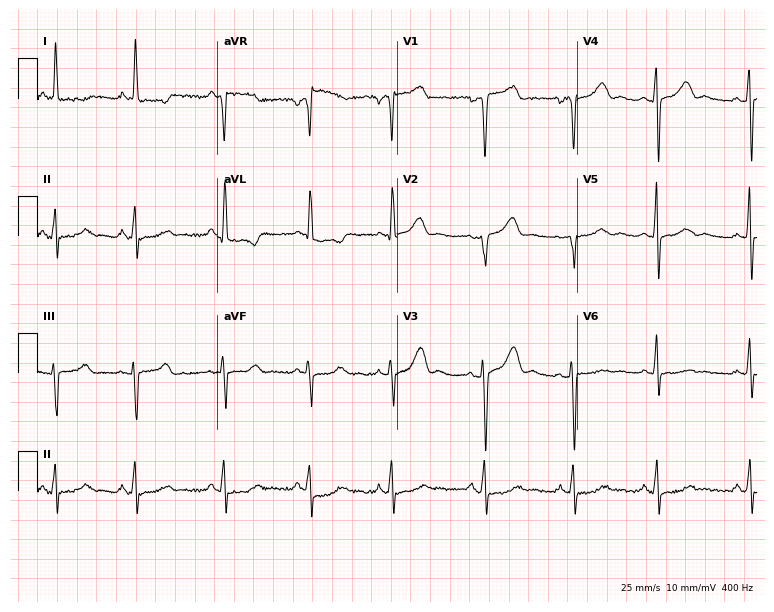
Electrocardiogram, a female patient, 46 years old. Of the six screened findings (first-degree AV block, right bundle branch block, left bundle branch block, sinus bradycardia, atrial fibrillation, sinus tachycardia), none is recorded.